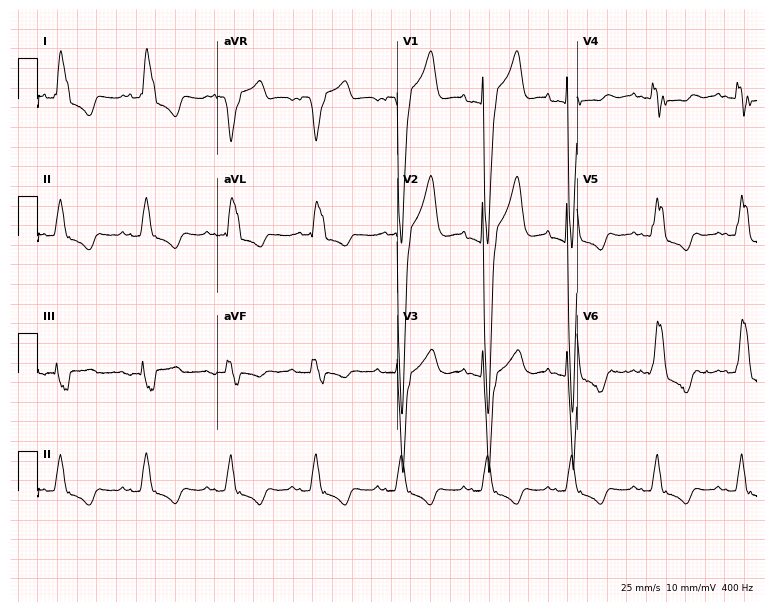
12-lead ECG from a 64-year-old female patient. Findings include left bundle branch block.